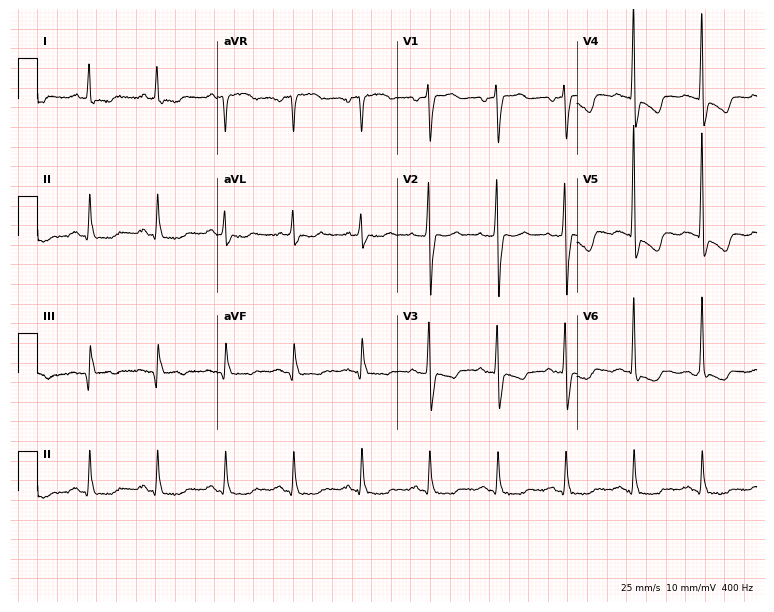
12-lead ECG from a male, 82 years old. No first-degree AV block, right bundle branch block, left bundle branch block, sinus bradycardia, atrial fibrillation or sinus tachycardia recorded for this tracing.